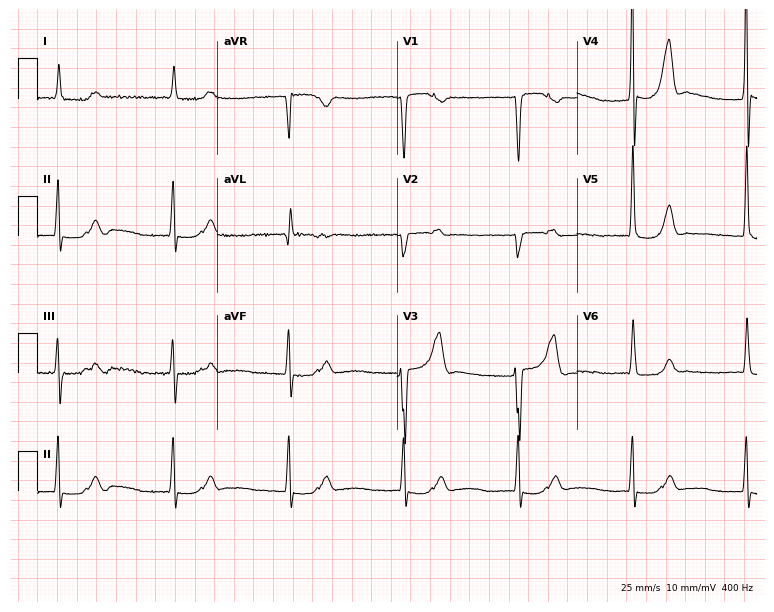
12-lead ECG from a woman, 83 years old. No first-degree AV block, right bundle branch block (RBBB), left bundle branch block (LBBB), sinus bradycardia, atrial fibrillation (AF) or sinus tachycardia recorded for this tracing. Findings outside these six are not listed.